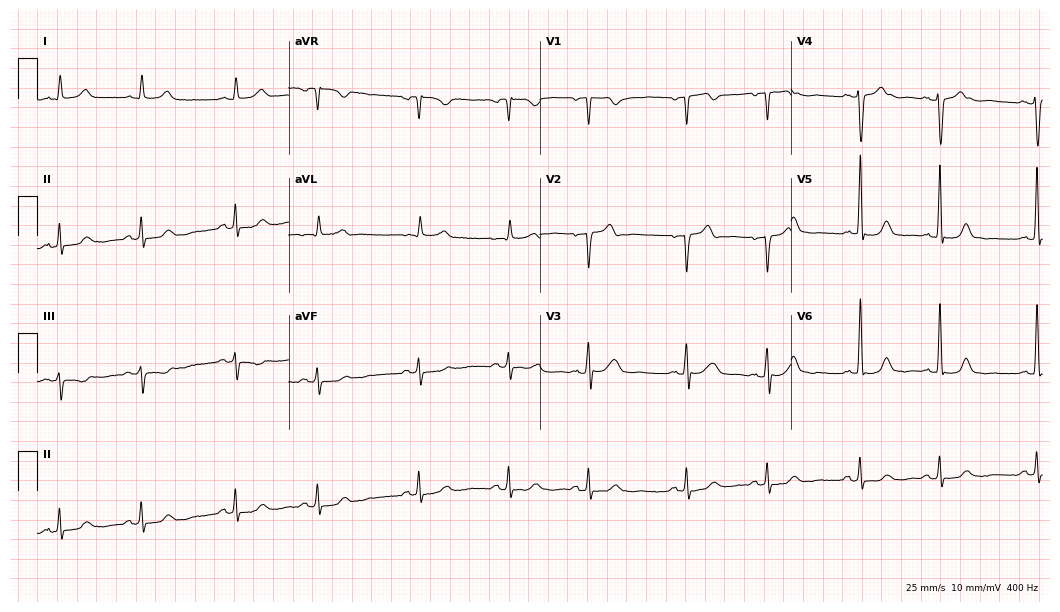
12-lead ECG from a woman, 64 years old (10.2-second recording at 400 Hz). Recorded interpretation: within normal limits.